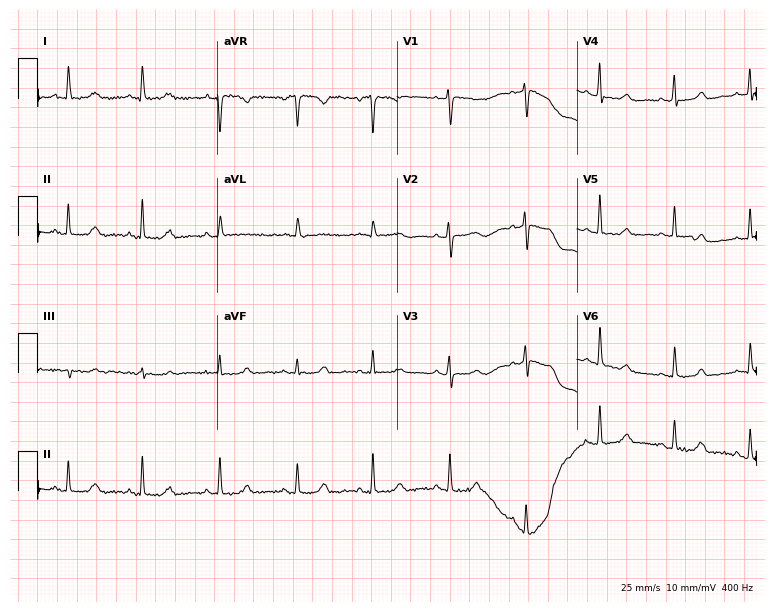
ECG (7.3-second recording at 400 Hz) — a 53-year-old female. Screened for six findings — first-degree AV block, right bundle branch block, left bundle branch block, sinus bradycardia, atrial fibrillation, sinus tachycardia — none is recorded. Findings outside these six are not listed.